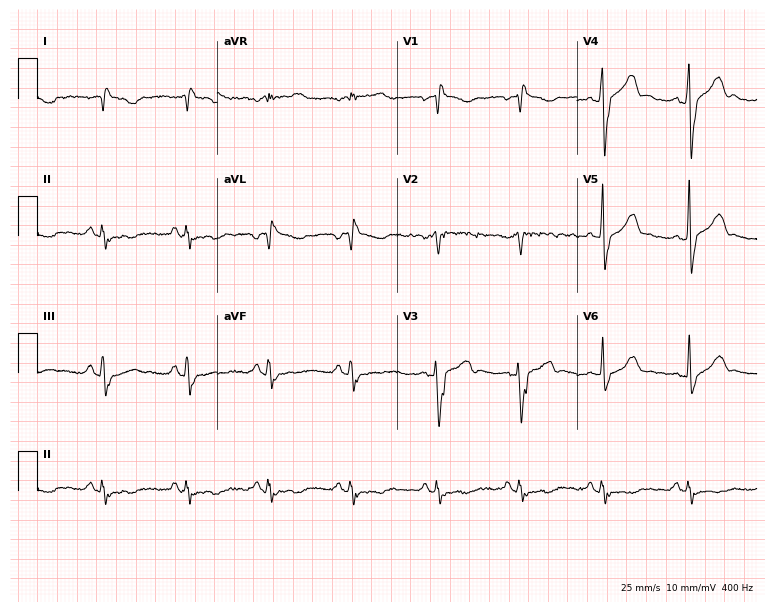
Electrocardiogram (7.3-second recording at 400 Hz), a male patient, 39 years old. Of the six screened findings (first-degree AV block, right bundle branch block (RBBB), left bundle branch block (LBBB), sinus bradycardia, atrial fibrillation (AF), sinus tachycardia), none is recorded.